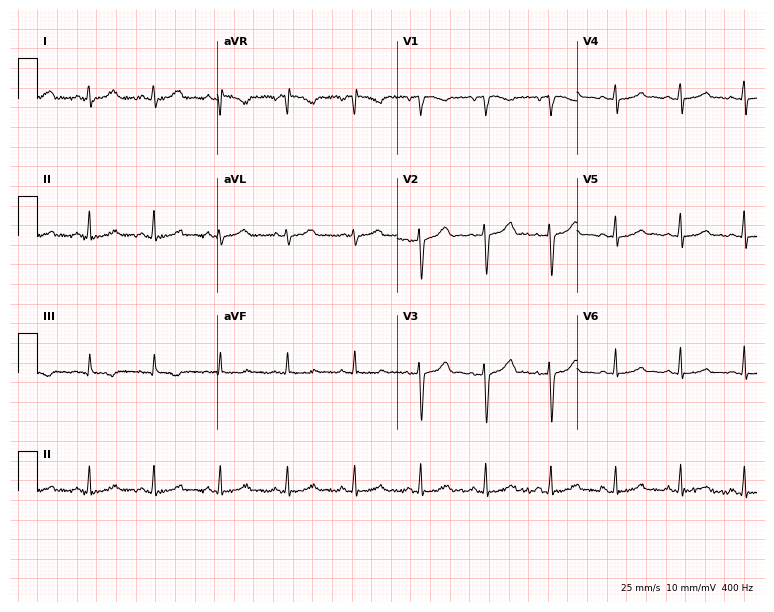
Resting 12-lead electrocardiogram (7.3-second recording at 400 Hz). Patient: a female, 41 years old. Read as a normal ECG.